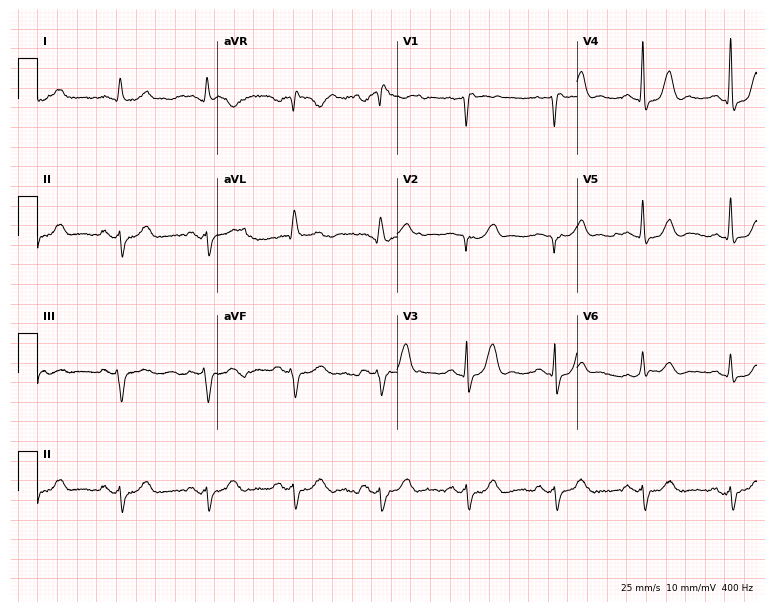
Electrocardiogram, a 77-year-old woman. Of the six screened findings (first-degree AV block, right bundle branch block (RBBB), left bundle branch block (LBBB), sinus bradycardia, atrial fibrillation (AF), sinus tachycardia), none is recorded.